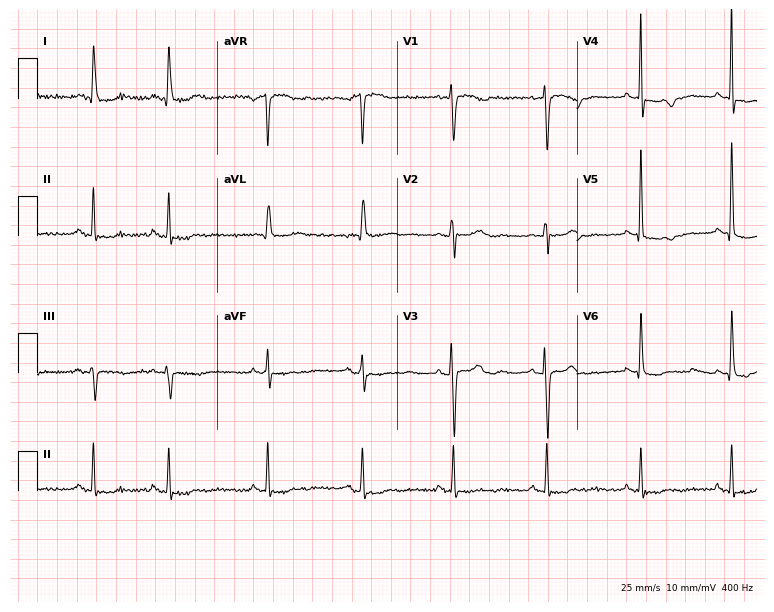
12-lead ECG from a female patient, 77 years old (7.3-second recording at 400 Hz). No first-degree AV block, right bundle branch block (RBBB), left bundle branch block (LBBB), sinus bradycardia, atrial fibrillation (AF) or sinus tachycardia recorded for this tracing. Findings outside these six are not listed.